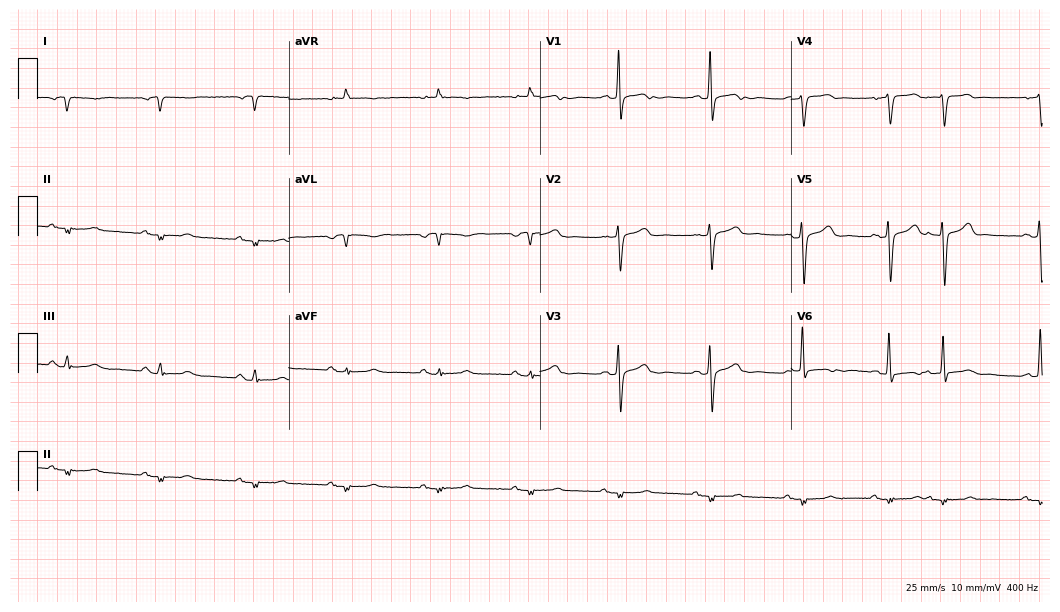
12-lead ECG (10.2-second recording at 400 Hz) from an 85-year-old man. Screened for six findings — first-degree AV block, right bundle branch block, left bundle branch block, sinus bradycardia, atrial fibrillation, sinus tachycardia — none is recorded. Other findings, if any, are not listed.